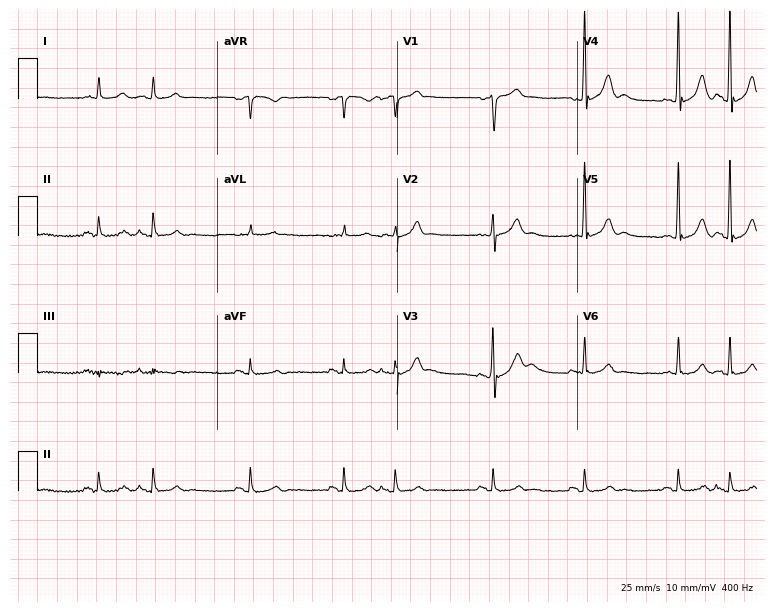
Standard 12-lead ECG recorded from a 68-year-old male. None of these six findings is recorded: first-degree AV block, right bundle branch block, left bundle branch block, sinus bradycardia, atrial fibrillation, sinus tachycardia. Only these six findings were labelled.